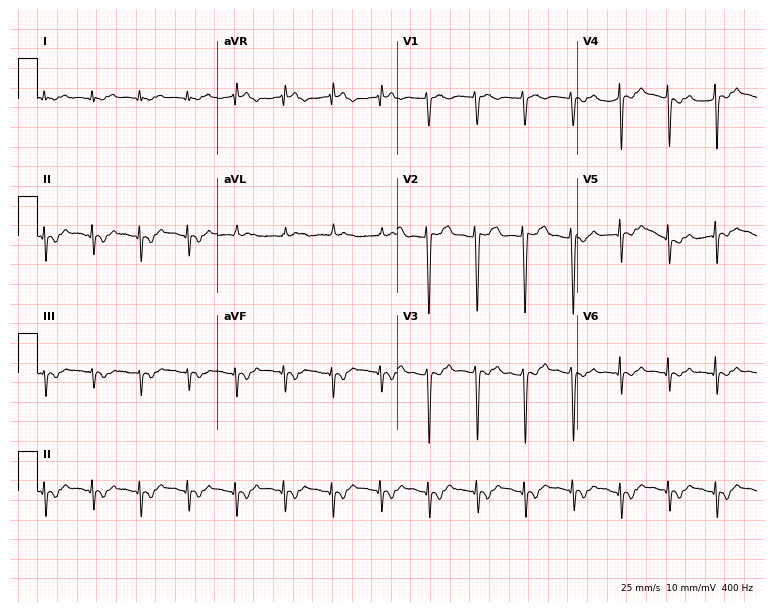
Resting 12-lead electrocardiogram. Patient: a female, 18 years old. None of these six findings is recorded: first-degree AV block, right bundle branch block, left bundle branch block, sinus bradycardia, atrial fibrillation, sinus tachycardia. Other findings, if any, are not listed.